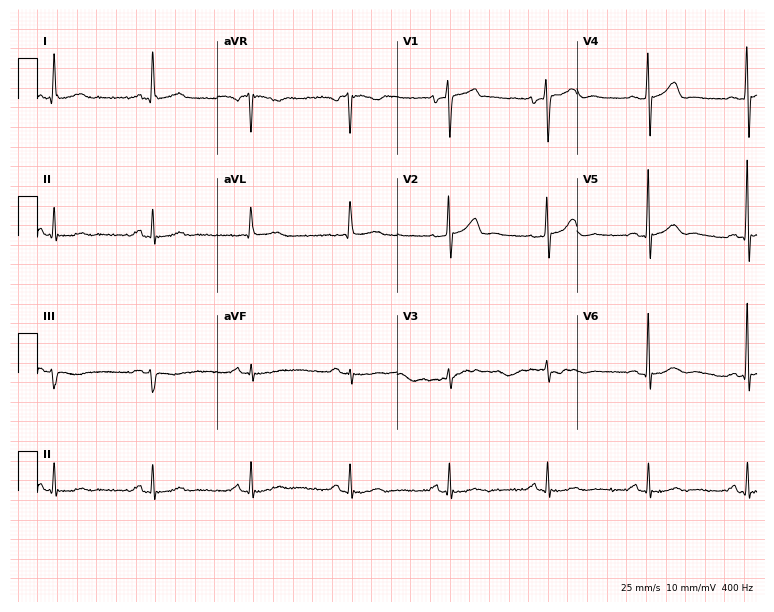
Electrocardiogram, a 60-year-old male. Overall reading on record: normal ECG.